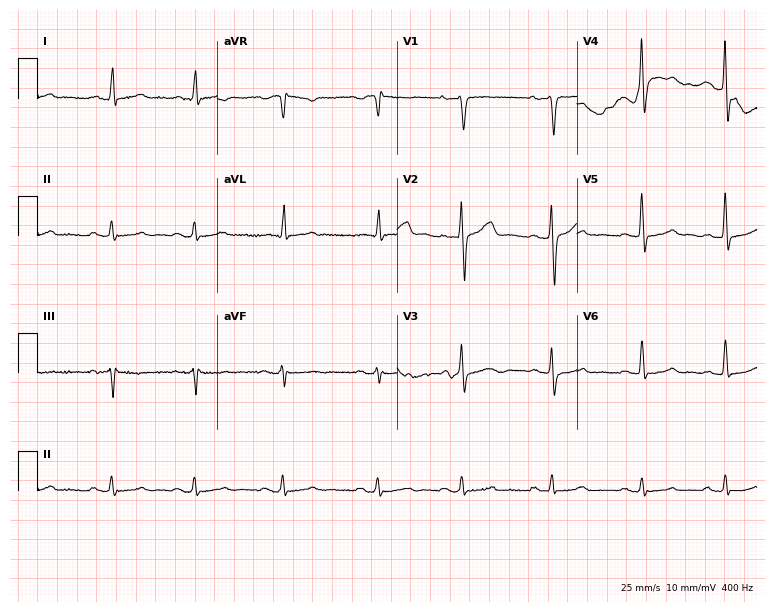
12-lead ECG (7.3-second recording at 400 Hz) from a 41-year-old female patient. Screened for six findings — first-degree AV block, right bundle branch block, left bundle branch block, sinus bradycardia, atrial fibrillation, sinus tachycardia — none is recorded.